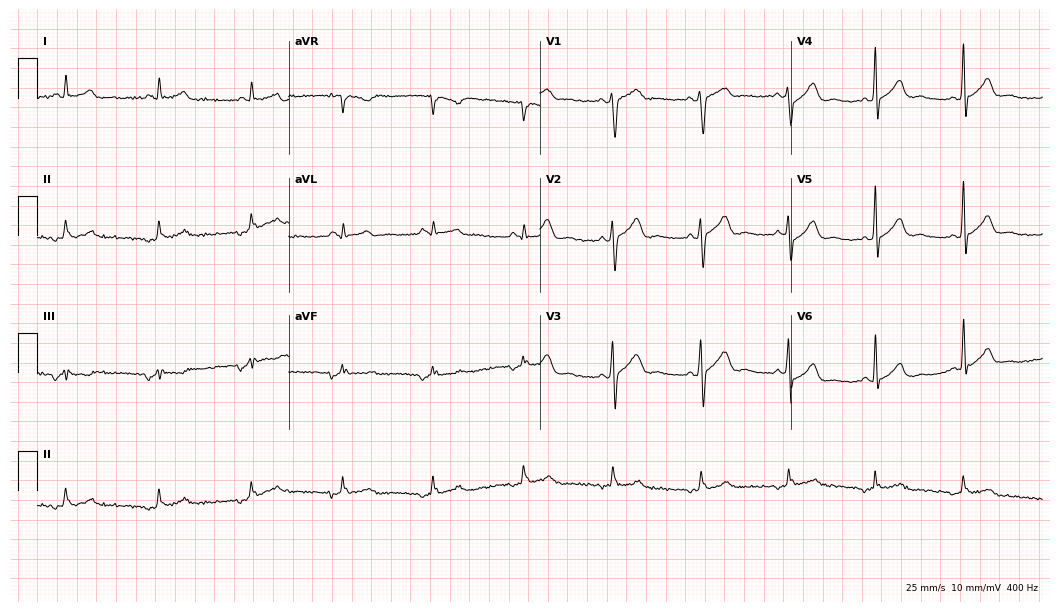
Standard 12-lead ECG recorded from a male, 40 years old. Read as a normal ECG.